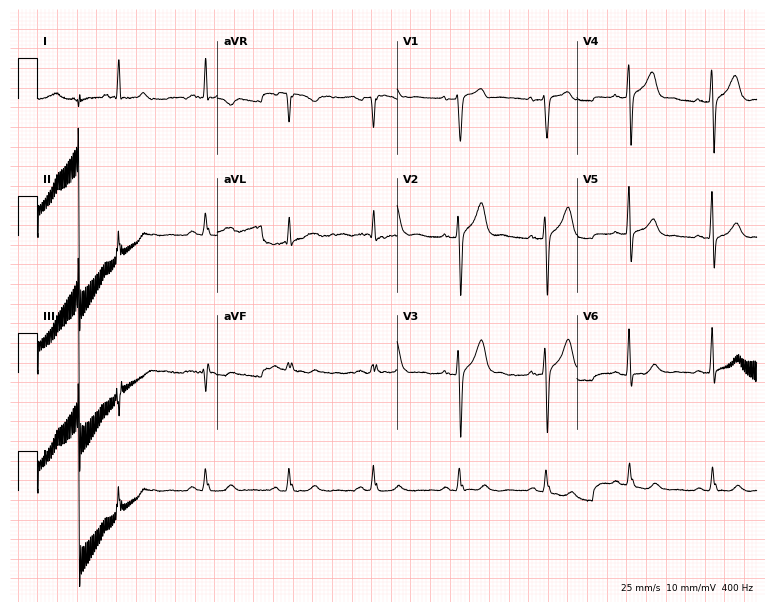
Electrocardiogram (7.3-second recording at 400 Hz), a male patient, 49 years old. Of the six screened findings (first-degree AV block, right bundle branch block, left bundle branch block, sinus bradycardia, atrial fibrillation, sinus tachycardia), none is recorded.